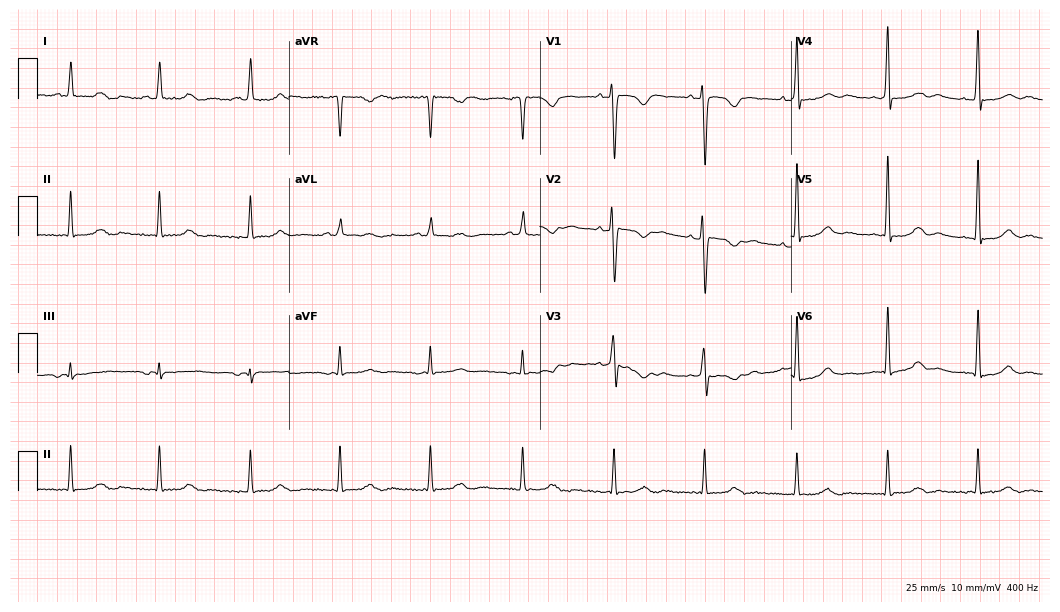
12-lead ECG from a woman, 43 years old (10.2-second recording at 400 Hz). No first-degree AV block, right bundle branch block, left bundle branch block, sinus bradycardia, atrial fibrillation or sinus tachycardia recorded for this tracing. Other findings, if any, are not listed.